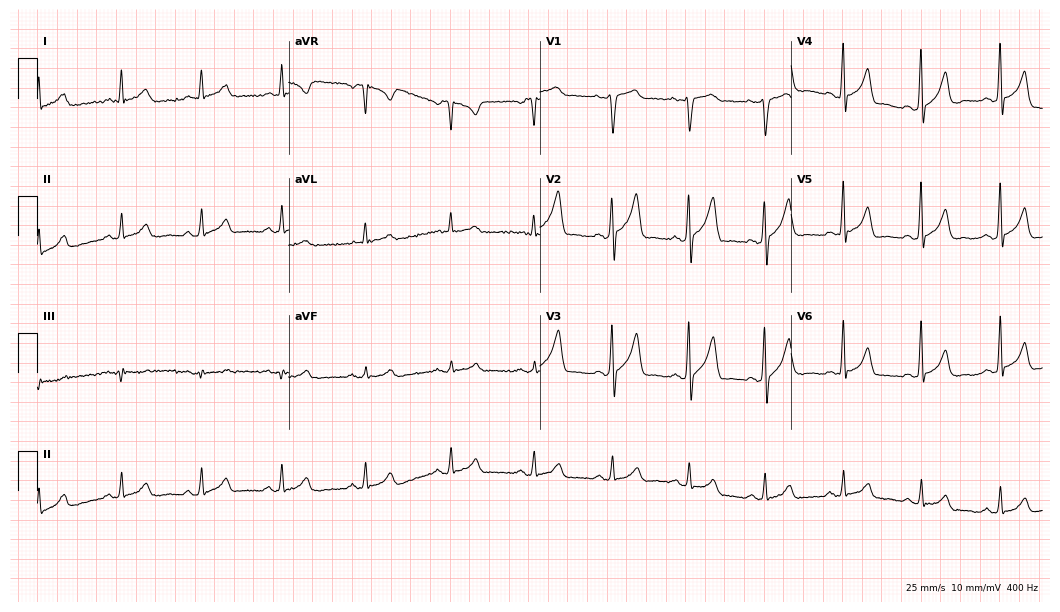
12-lead ECG from a 43-year-old male. No first-degree AV block, right bundle branch block (RBBB), left bundle branch block (LBBB), sinus bradycardia, atrial fibrillation (AF) or sinus tachycardia recorded for this tracing.